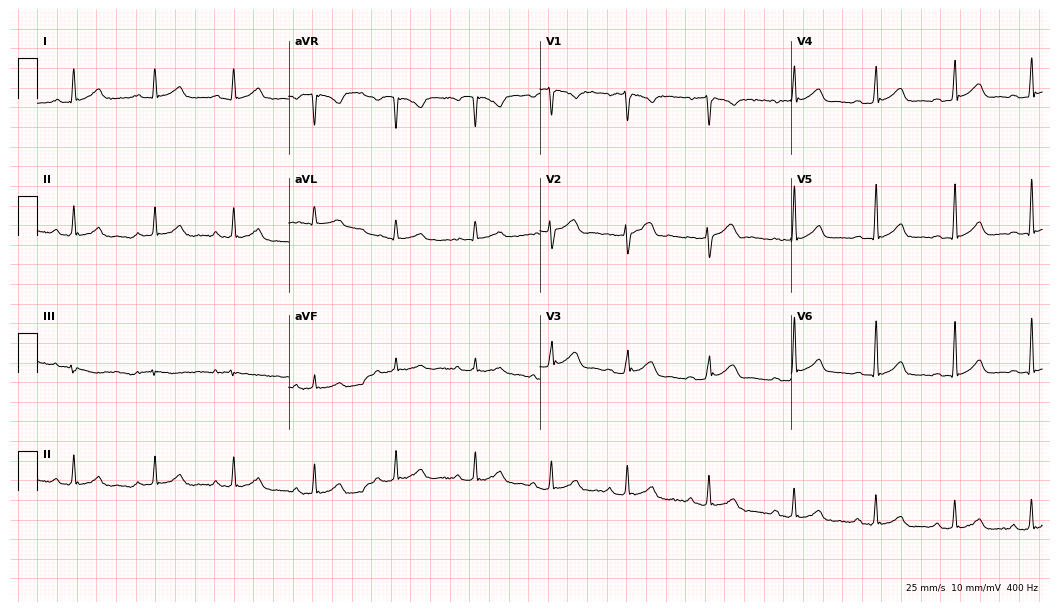
Electrocardiogram (10.2-second recording at 400 Hz), a man, 30 years old. Of the six screened findings (first-degree AV block, right bundle branch block, left bundle branch block, sinus bradycardia, atrial fibrillation, sinus tachycardia), none is recorded. Findings outside these six are not listed.